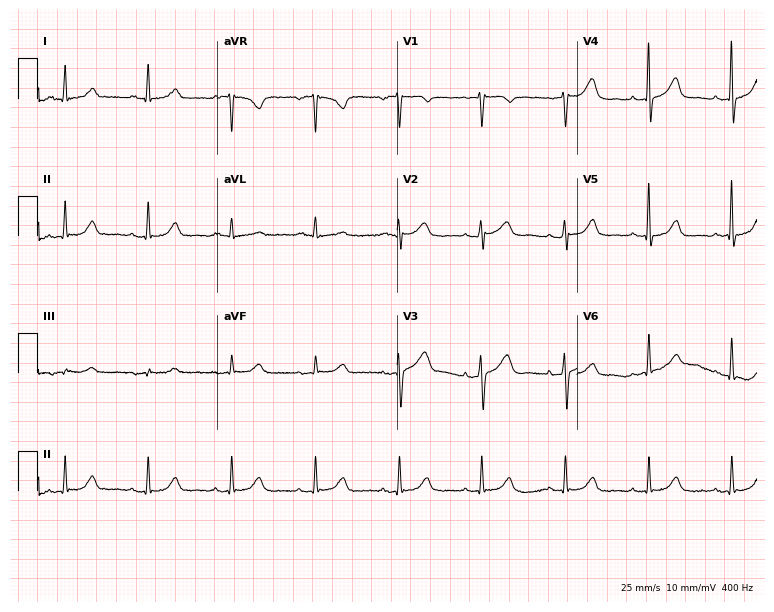
12-lead ECG from a 66-year-old female patient (7.3-second recording at 400 Hz). No first-degree AV block, right bundle branch block (RBBB), left bundle branch block (LBBB), sinus bradycardia, atrial fibrillation (AF) or sinus tachycardia recorded for this tracing. Other findings, if any, are not listed.